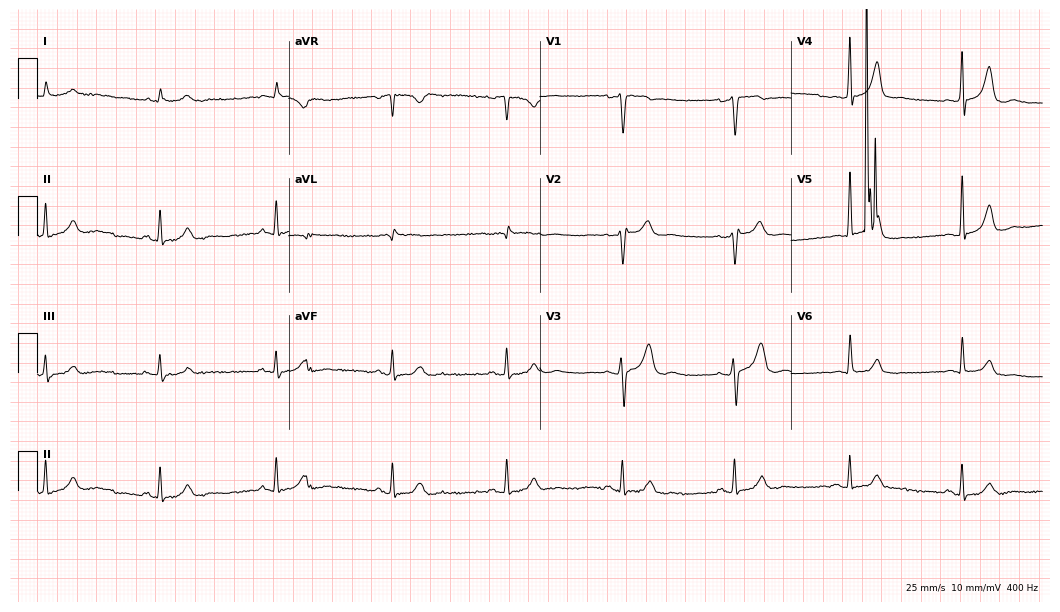
Resting 12-lead electrocardiogram (10.2-second recording at 400 Hz). Patient: a 72-year-old male. None of these six findings is recorded: first-degree AV block, right bundle branch block, left bundle branch block, sinus bradycardia, atrial fibrillation, sinus tachycardia. Other findings, if any, are not listed.